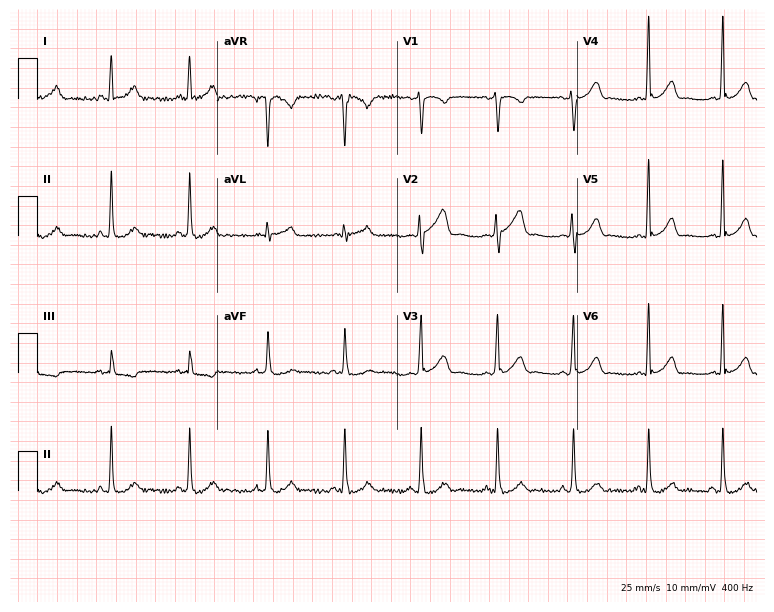
Electrocardiogram, a female patient, 44 years old. Overall reading on record: normal ECG.